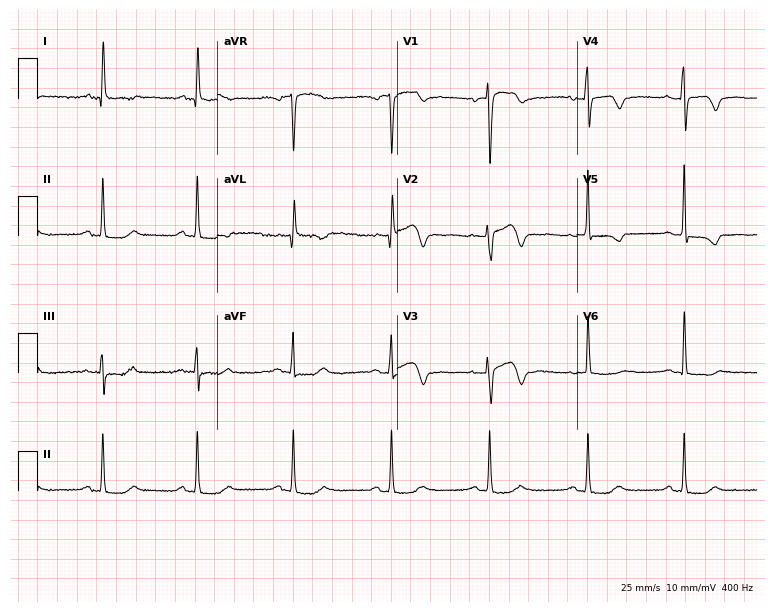
12-lead ECG from a 61-year-old female patient. No first-degree AV block, right bundle branch block (RBBB), left bundle branch block (LBBB), sinus bradycardia, atrial fibrillation (AF) or sinus tachycardia recorded for this tracing. Other findings, if any, are not listed.